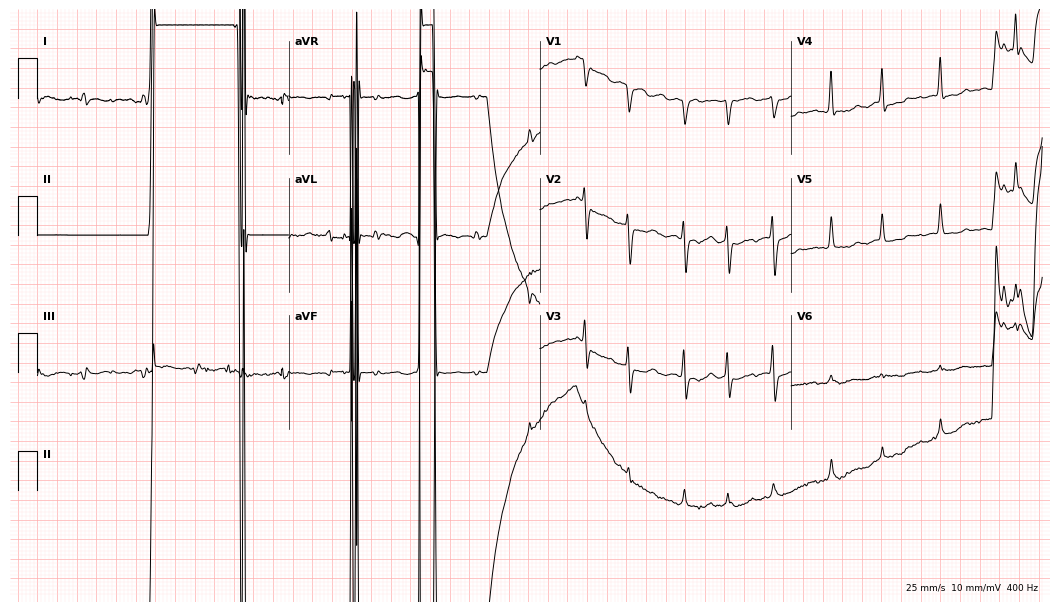
Standard 12-lead ECG recorded from a 67-year-old female (10.2-second recording at 400 Hz). None of these six findings is recorded: first-degree AV block, right bundle branch block, left bundle branch block, sinus bradycardia, atrial fibrillation, sinus tachycardia. Only these six findings were labelled.